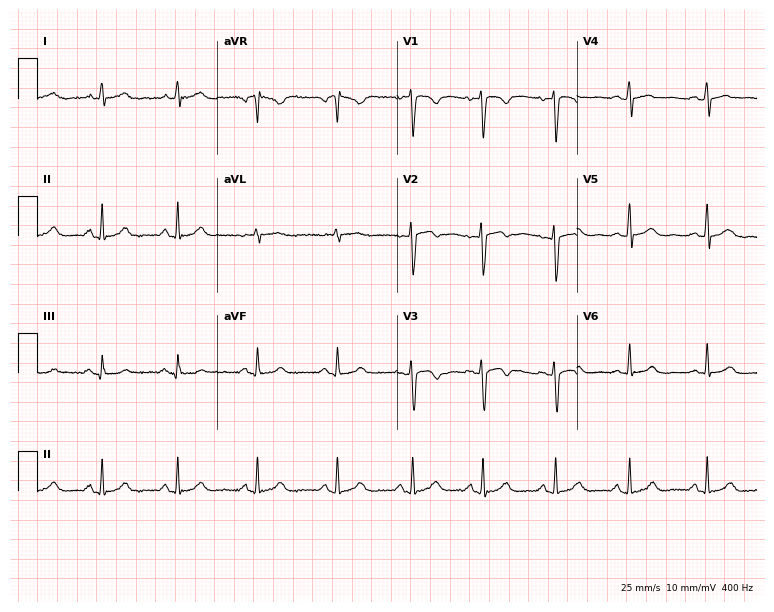
12-lead ECG from a 31-year-old woman (7.3-second recording at 400 Hz). Recorded interpretation: within normal limits.